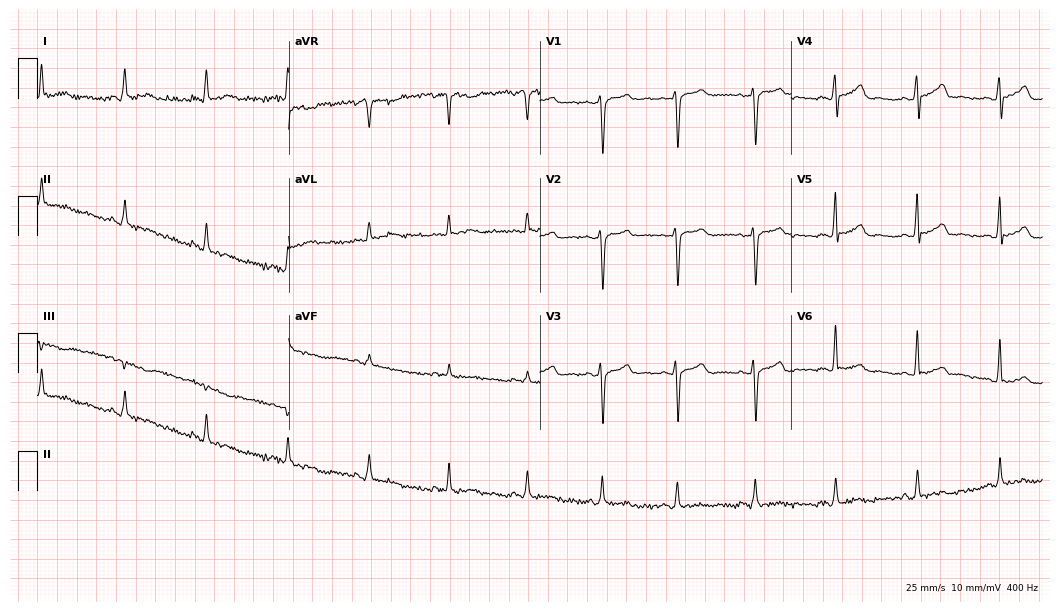
ECG — a 43-year-old female. Screened for six findings — first-degree AV block, right bundle branch block, left bundle branch block, sinus bradycardia, atrial fibrillation, sinus tachycardia — none is recorded. Findings outside these six are not listed.